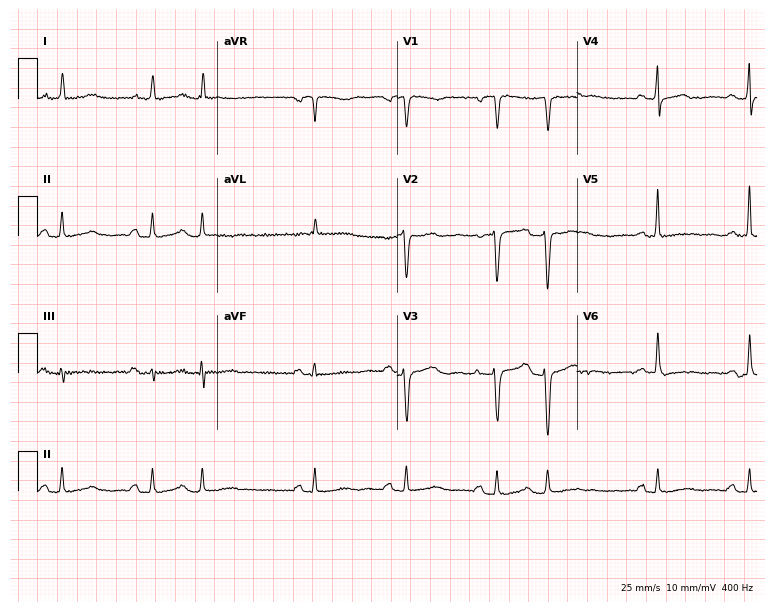
ECG (7.3-second recording at 400 Hz) — a 60-year-old female. Screened for six findings — first-degree AV block, right bundle branch block, left bundle branch block, sinus bradycardia, atrial fibrillation, sinus tachycardia — none is recorded. Only these six findings were labelled.